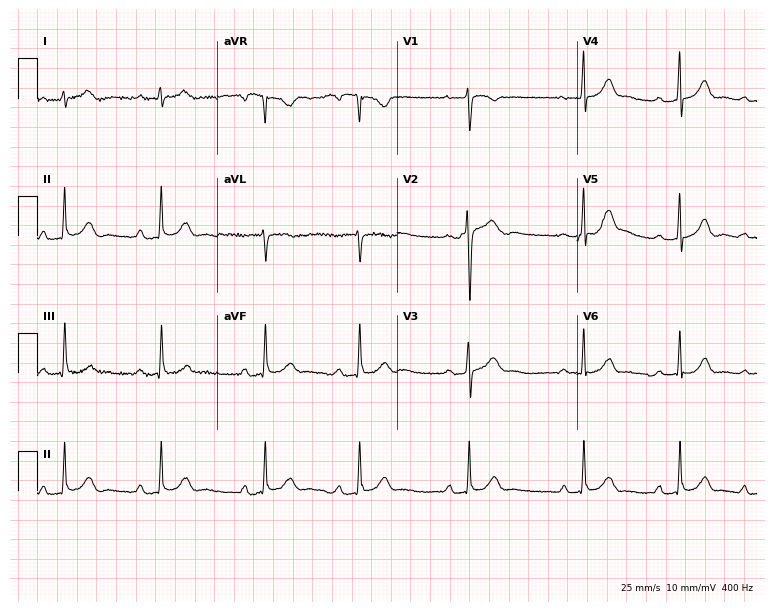
Resting 12-lead electrocardiogram. Patient: a 23-year-old female. The tracing shows first-degree AV block.